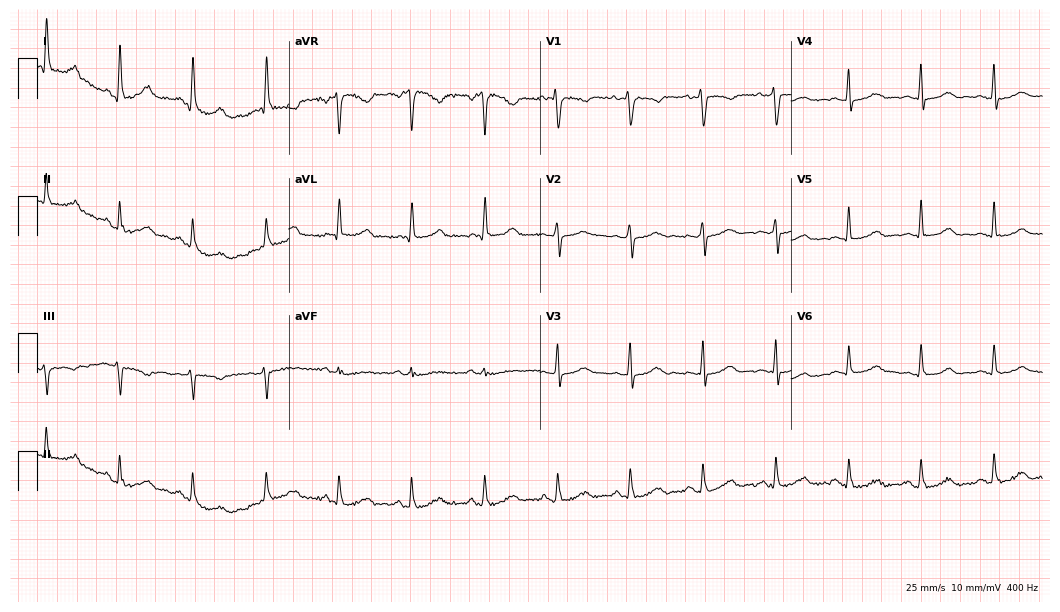
Electrocardiogram, a female, 40 years old. Of the six screened findings (first-degree AV block, right bundle branch block, left bundle branch block, sinus bradycardia, atrial fibrillation, sinus tachycardia), none is recorded.